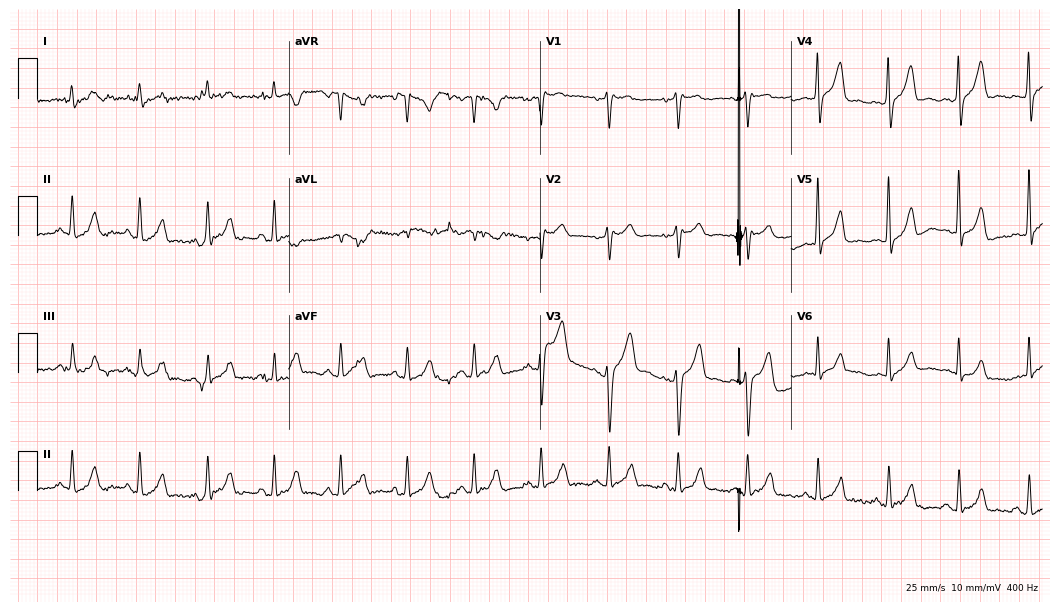
ECG — a male patient, 52 years old. Screened for six findings — first-degree AV block, right bundle branch block (RBBB), left bundle branch block (LBBB), sinus bradycardia, atrial fibrillation (AF), sinus tachycardia — none is recorded.